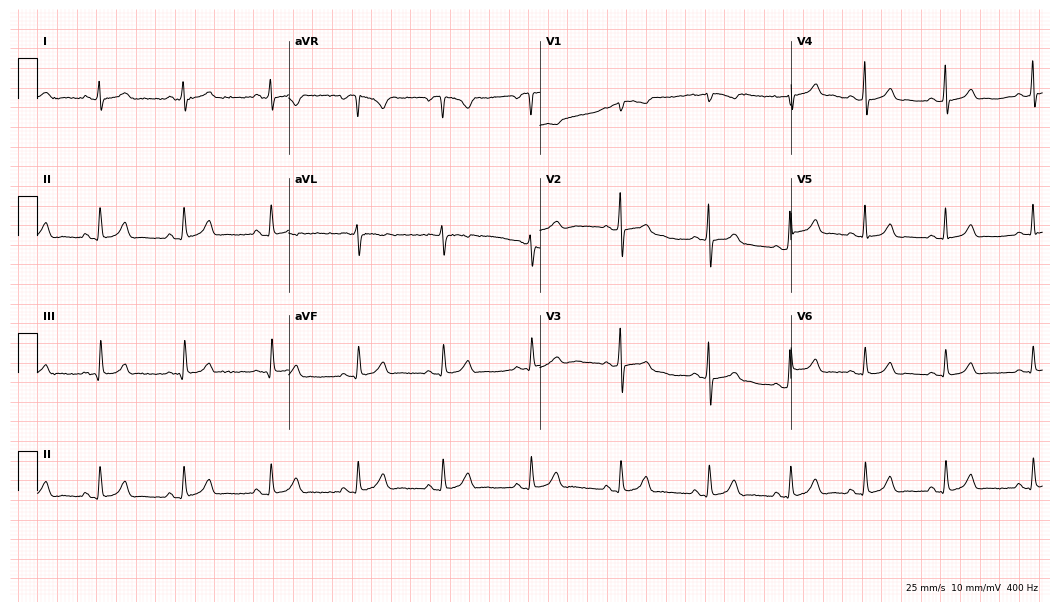
ECG (10.2-second recording at 400 Hz) — a 22-year-old woman. Labelled as a normal ECG.